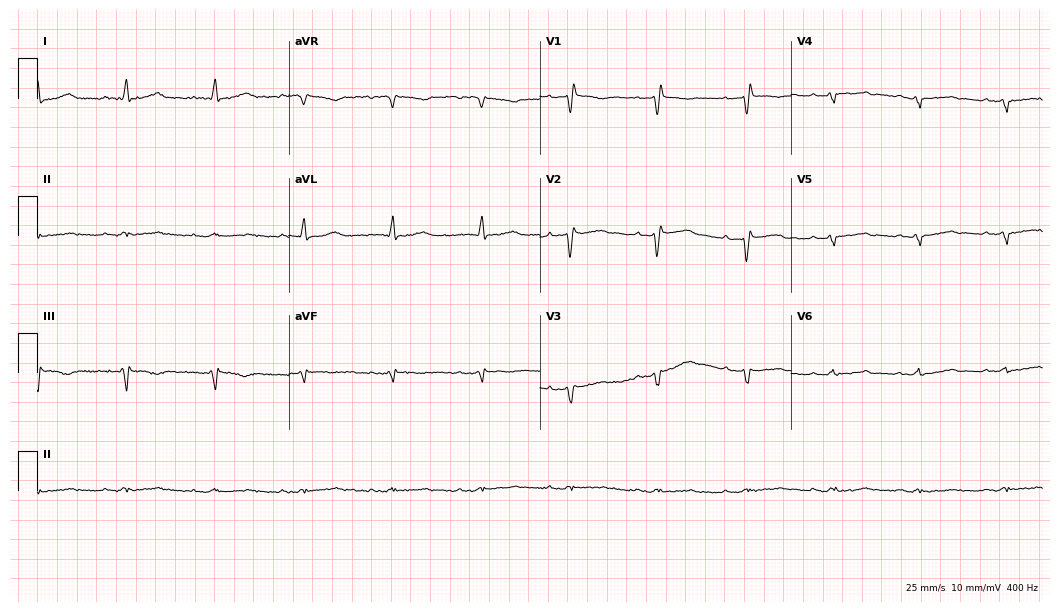
12-lead ECG from a 72-year-old male. No first-degree AV block, right bundle branch block, left bundle branch block, sinus bradycardia, atrial fibrillation or sinus tachycardia recorded for this tracing. Only these six findings were labelled.